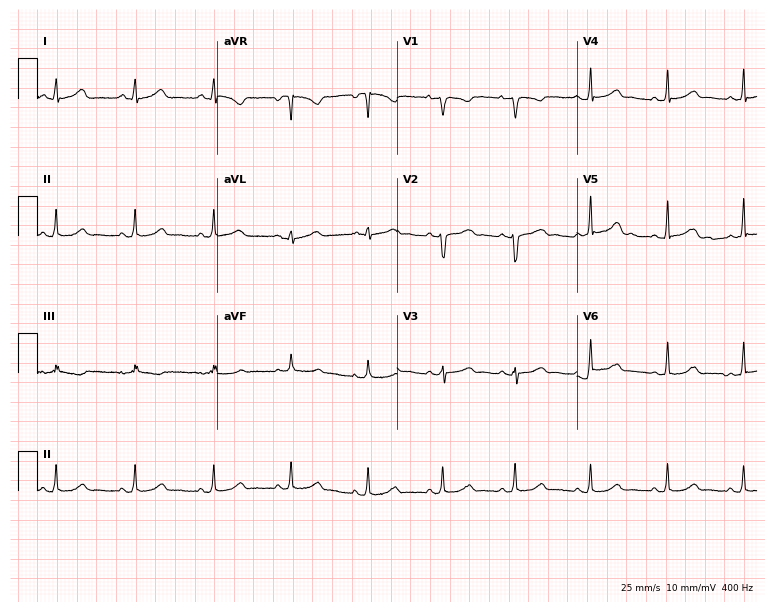
12-lead ECG (7.3-second recording at 400 Hz) from a woman, 28 years old. Labelled as a normal ECG.